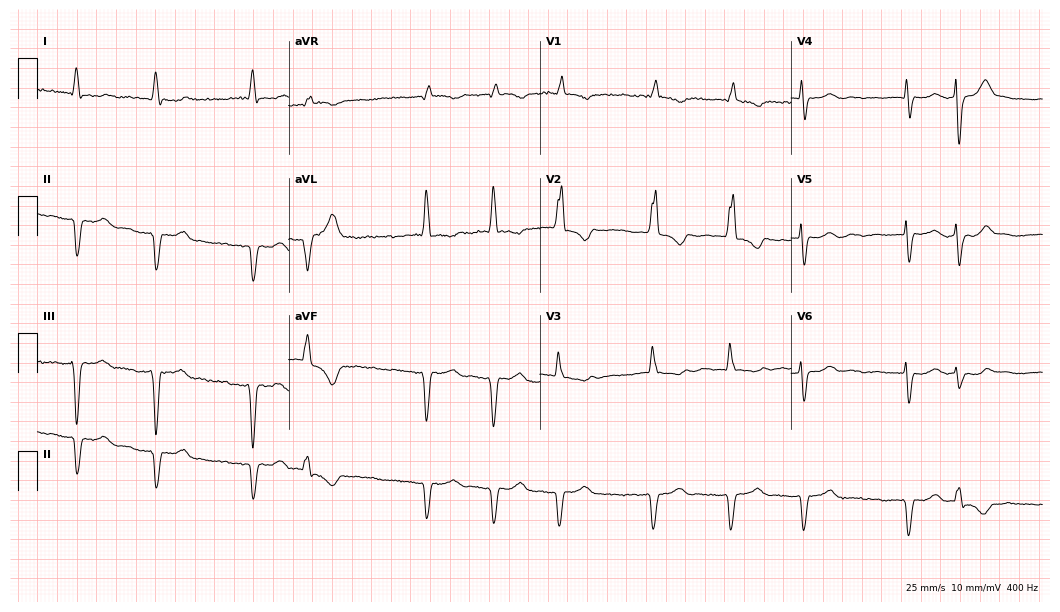
12-lead ECG from a woman, 51 years old. Screened for six findings — first-degree AV block, right bundle branch block, left bundle branch block, sinus bradycardia, atrial fibrillation, sinus tachycardia — none is recorded.